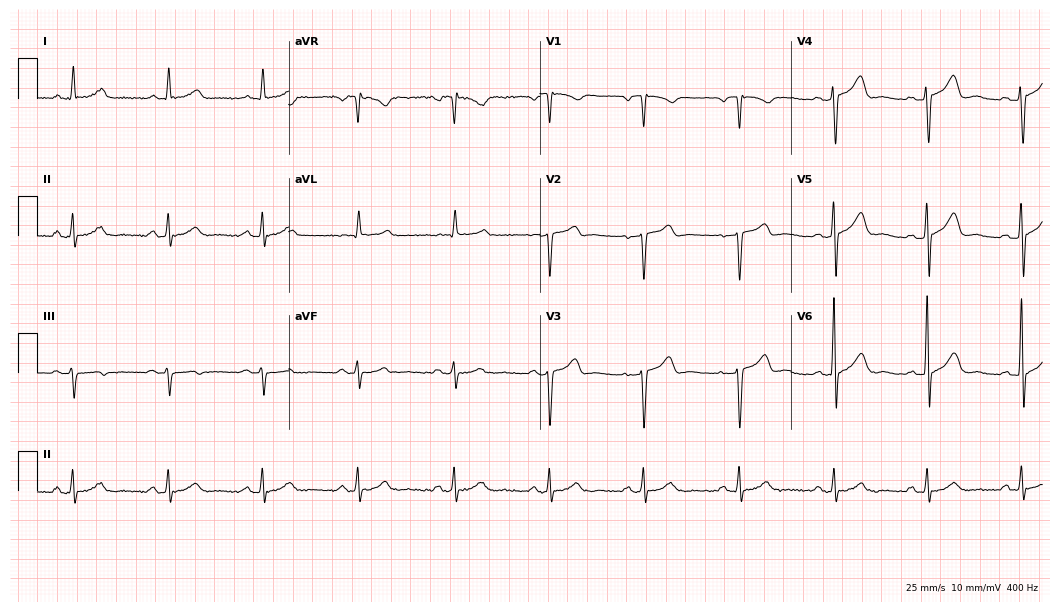
12-lead ECG from a 55-year-old male patient. No first-degree AV block, right bundle branch block (RBBB), left bundle branch block (LBBB), sinus bradycardia, atrial fibrillation (AF) or sinus tachycardia recorded for this tracing.